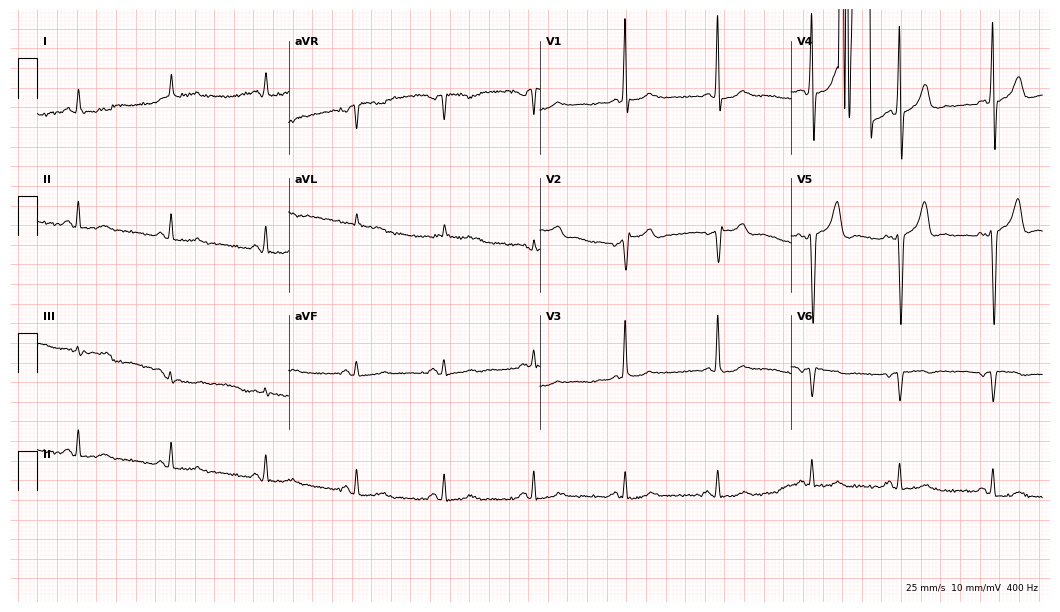
12-lead ECG from a 75-year-old male patient. Screened for six findings — first-degree AV block, right bundle branch block (RBBB), left bundle branch block (LBBB), sinus bradycardia, atrial fibrillation (AF), sinus tachycardia — none is recorded. Findings outside these six are not listed.